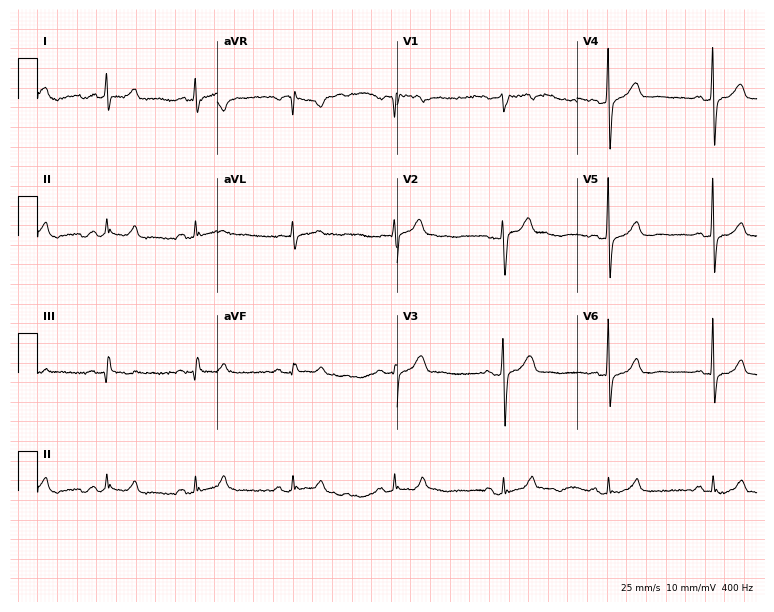
Resting 12-lead electrocardiogram (7.3-second recording at 400 Hz). Patient: a man, 44 years old. None of these six findings is recorded: first-degree AV block, right bundle branch block, left bundle branch block, sinus bradycardia, atrial fibrillation, sinus tachycardia.